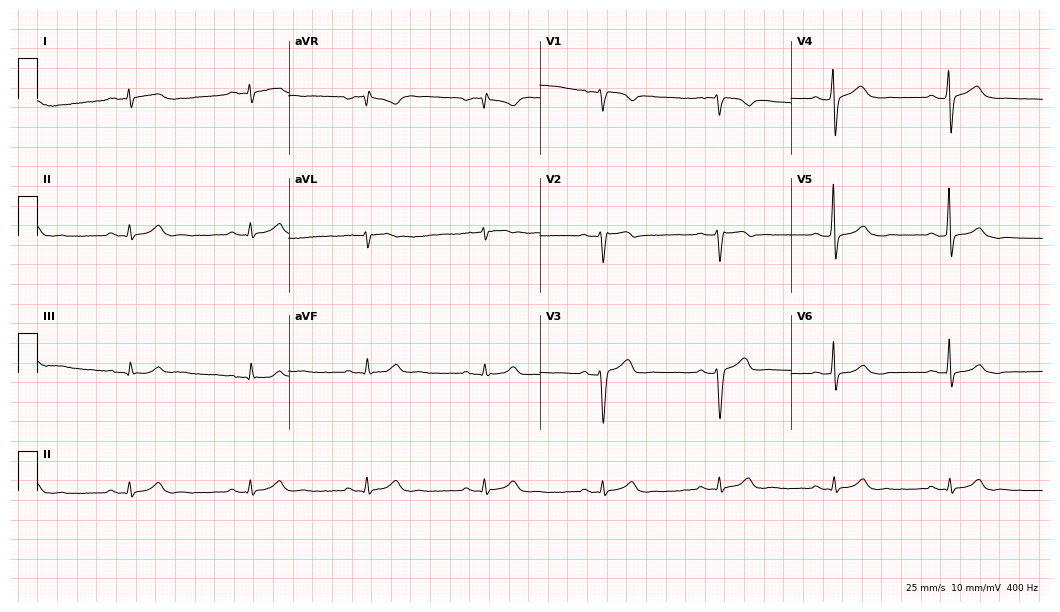
ECG (10.2-second recording at 400 Hz) — a 42-year-old man. Screened for six findings — first-degree AV block, right bundle branch block (RBBB), left bundle branch block (LBBB), sinus bradycardia, atrial fibrillation (AF), sinus tachycardia — none is recorded.